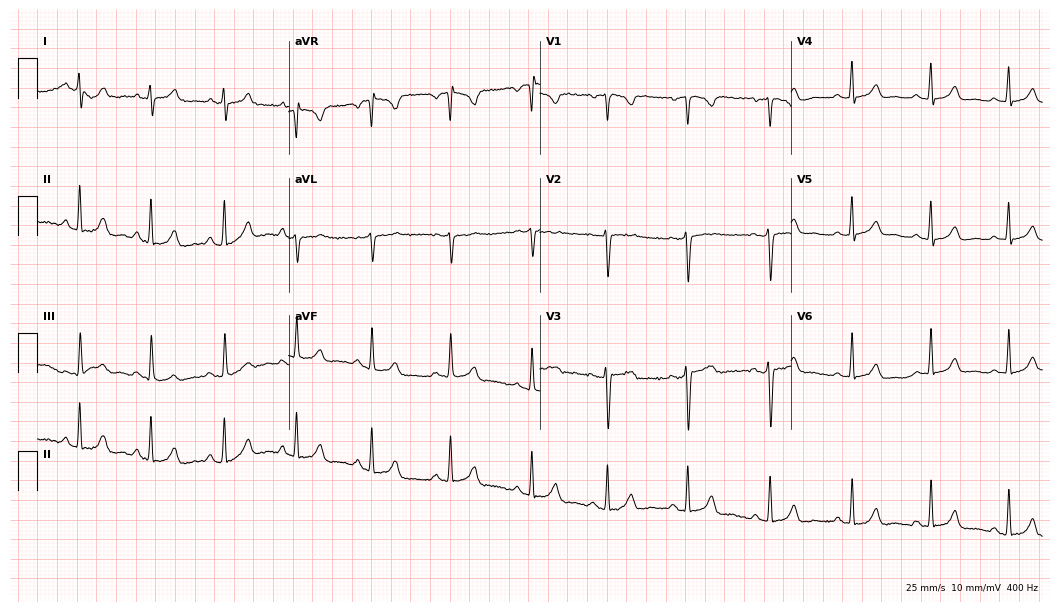
12-lead ECG from a female, 21 years old (10.2-second recording at 400 Hz). No first-degree AV block, right bundle branch block (RBBB), left bundle branch block (LBBB), sinus bradycardia, atrial fibrillation (AF) or sinus tachycardia recorded for this tracing. Only these six findings were labelled.